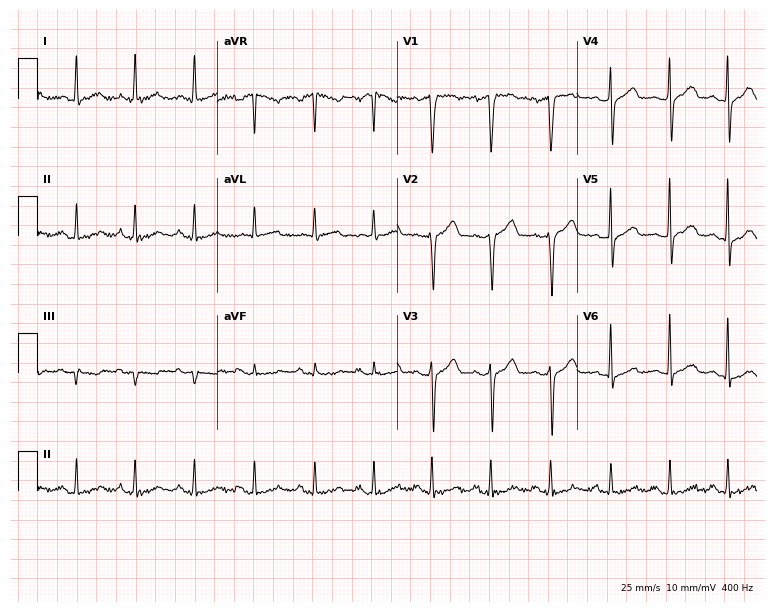
ECG (7.3-second recording at 400 Hz) — a male, 61 years old. Screened for six findings — first-degree AV block, right bundle branch block, left bundle branch block, sinus bradycardia, atrial fibrillation, sinus tachycardia — none is recorded.